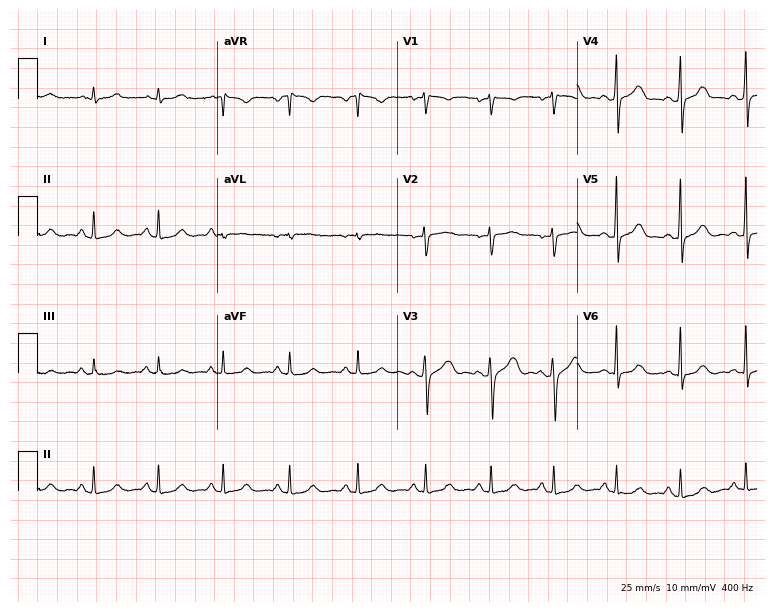
ECG — a 26-year-old female. Labelled as a normal ECG.